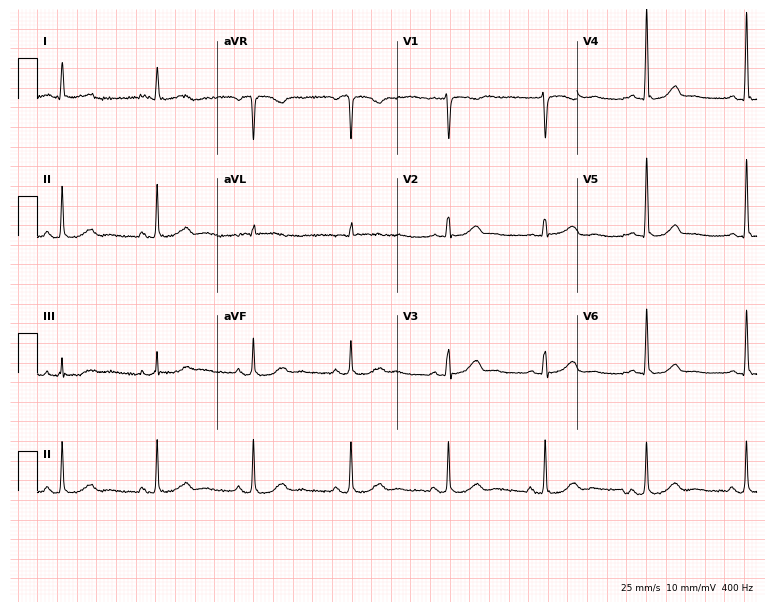
ECG (7.3-second recording at 400 Hz) — a female, 56 years old. Labelled as a normal ECG.